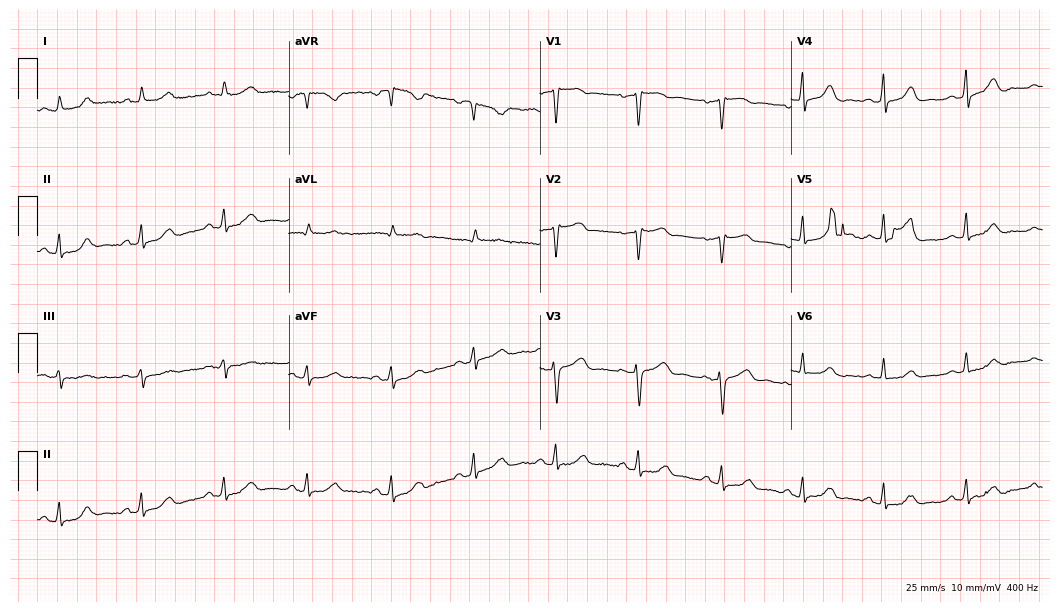
Resting 12-lead electrocardiogram. Patient: a 62-year-old woman. Read as a normal ECG.